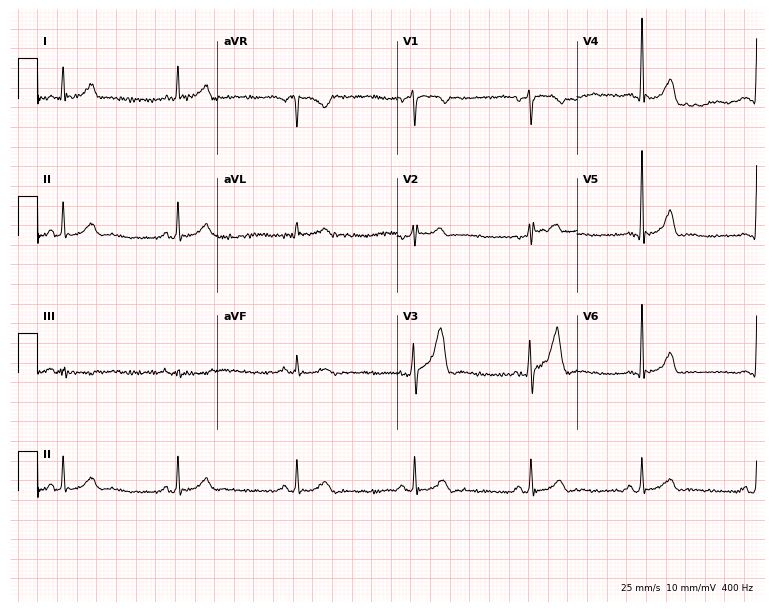
Electrocardiogram, a 47-year-old male patient. Of the six screened findings (first-degree AV block, right bundle branch block, left bundle branch block, sinus bradycardia, atrial fibrillation, sinus tachycardia), none is recorded.